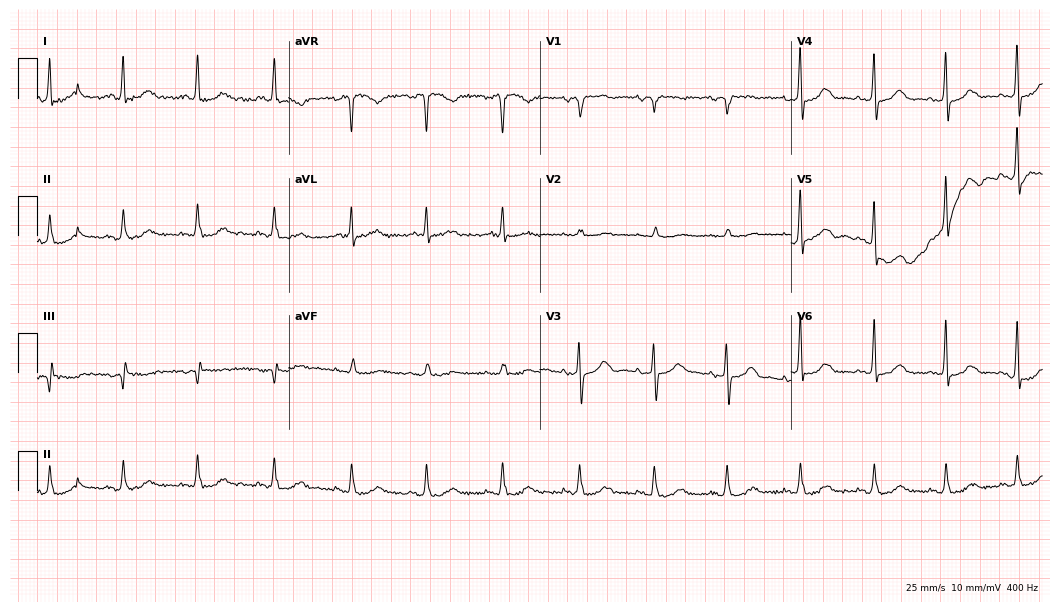
Resting 12-lead electrocardiogram (10.2-second recording at 400 Hz). Patient: a female, 69 years old. None of these six findings is recorded: first-degree AV block, right bundle branch block (RBBB), left bundle branch block (LBBB), sinus bradycardia, atrial fibrillation (AF), sinus tachycardia. Findings outside these six are not listed.